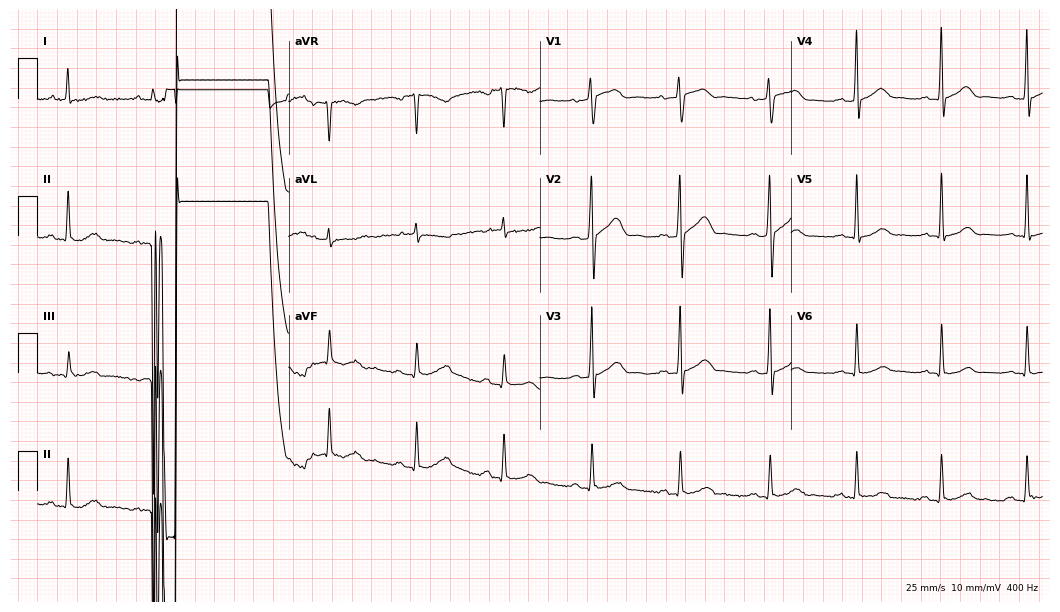
12-lead ECG from a 32-year-old male patient. Labelled as a normal ECG.